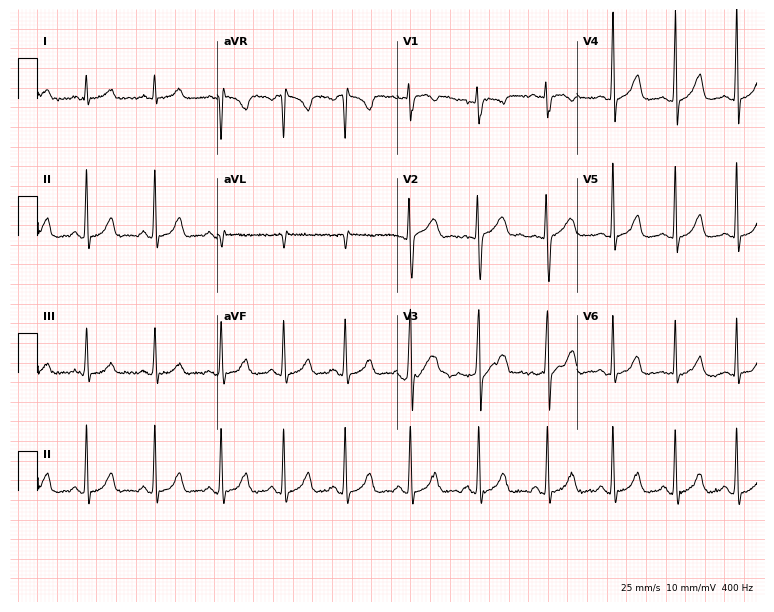
Resting 12-lead electrocardiogram (7.3-second recording at 400 Hz). Patient: a 17-year-old female. Read as a normal ECG.